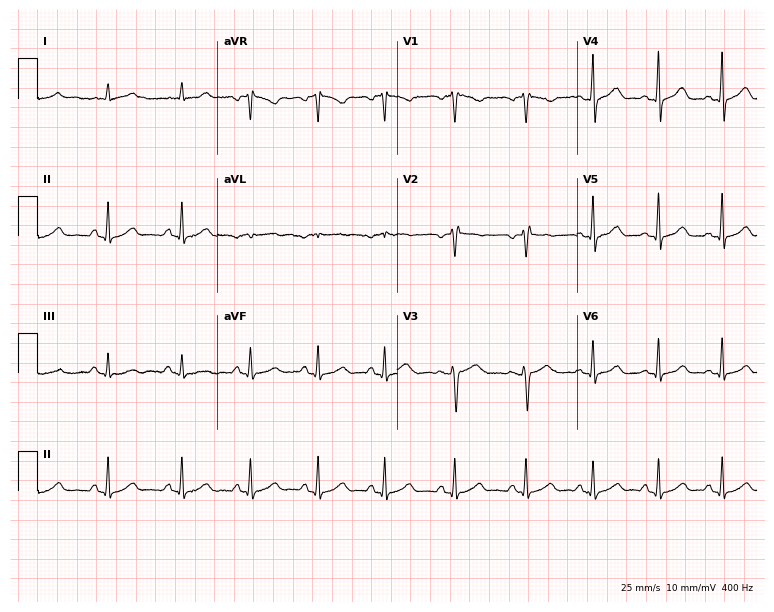
ECG (7.3-second recording at 400 Hz) — a 45-year-old female patient. Screened for six findings — first-degree AV block, right bundle branch block, left bundle branch block, sinus bradycardia, atrial fibrillation, sinus tachycardia — none is recorded.